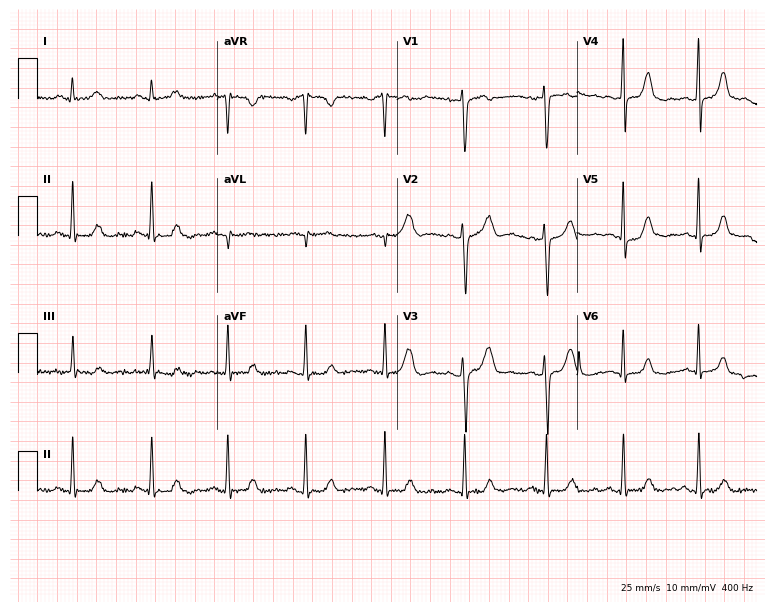
Resting 12-lead electrocardiogram. Patient: a female, 28 years old. Read as a normal ECG.